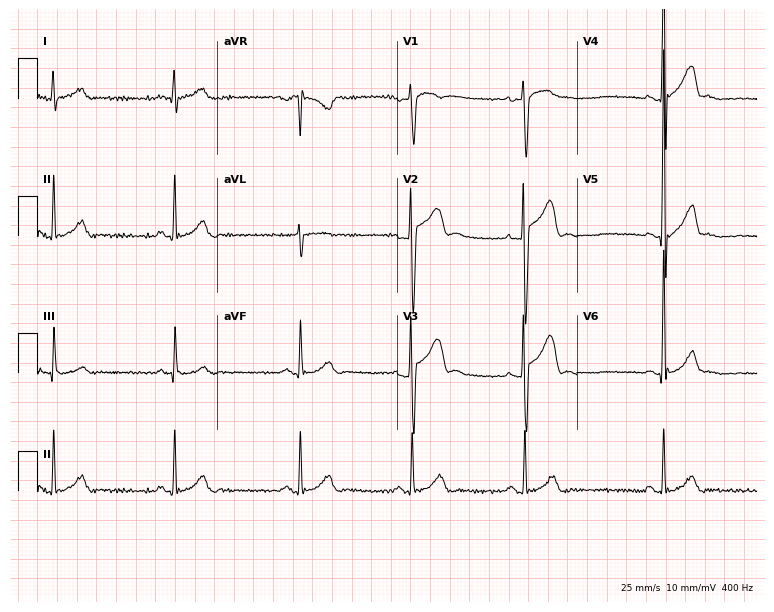
Resting 12-lead electrocardiogram (7.3-second recording at 400 Hz). Patient: a 19-year-old man. The tracing shows atrial fibrillation.